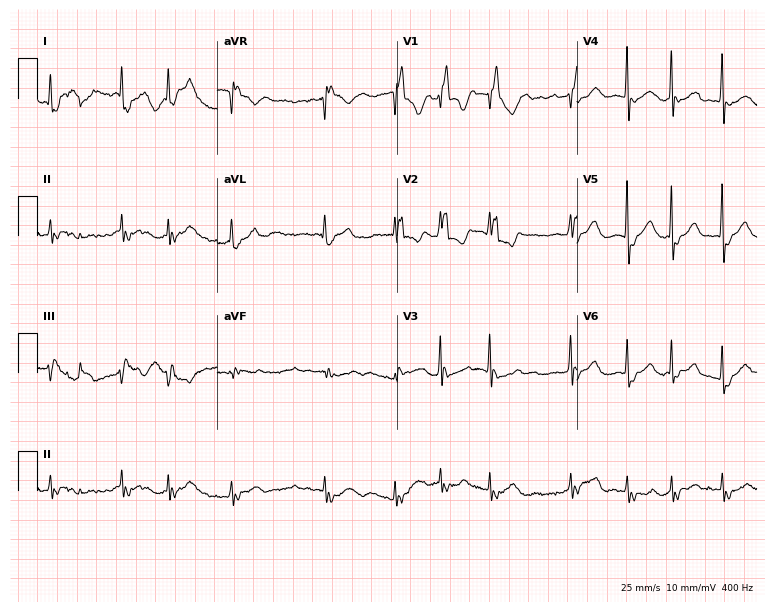
Resting 12-lead electrocardiogram. Patient: an 84-year-old woman. The tracing shows right bundle branch block, atrial fibrillation.